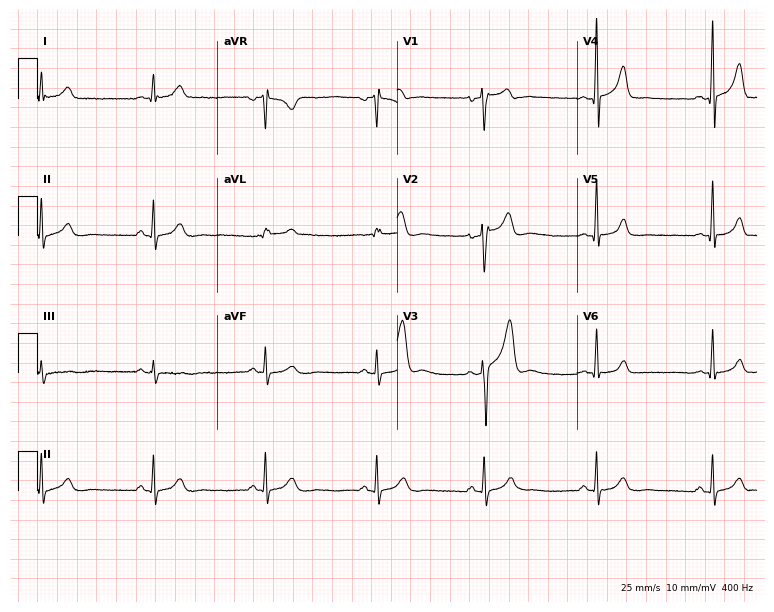
Resting 12-lead electrocardiogram. Patient: a male, 34 years old. Read as a normal ECG.